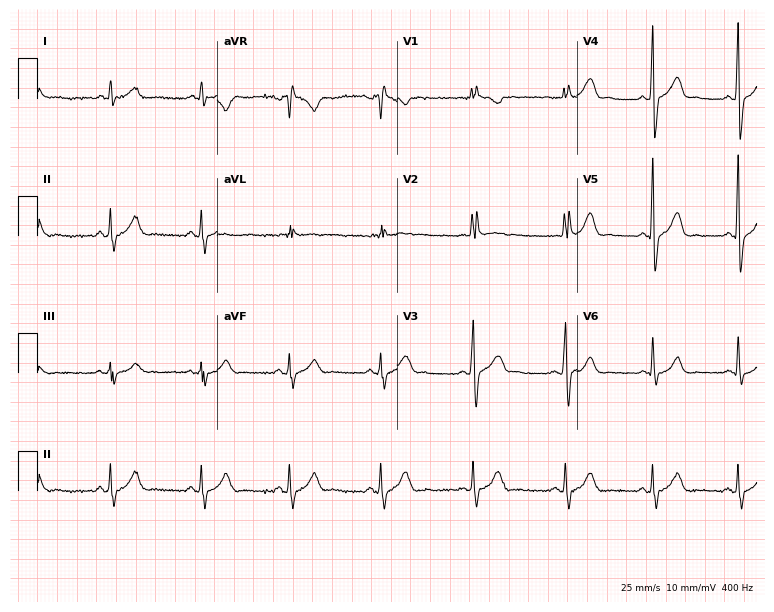
Standard 12-lead ECG recorded from a male, 36 years old. None of these six findings is recorded: first-degree AV block, right bundle branch block, left bundle branch block, sinus bradycardia, atrial fibrillation, sinus tachycardia. Findings outside these six are not listed.